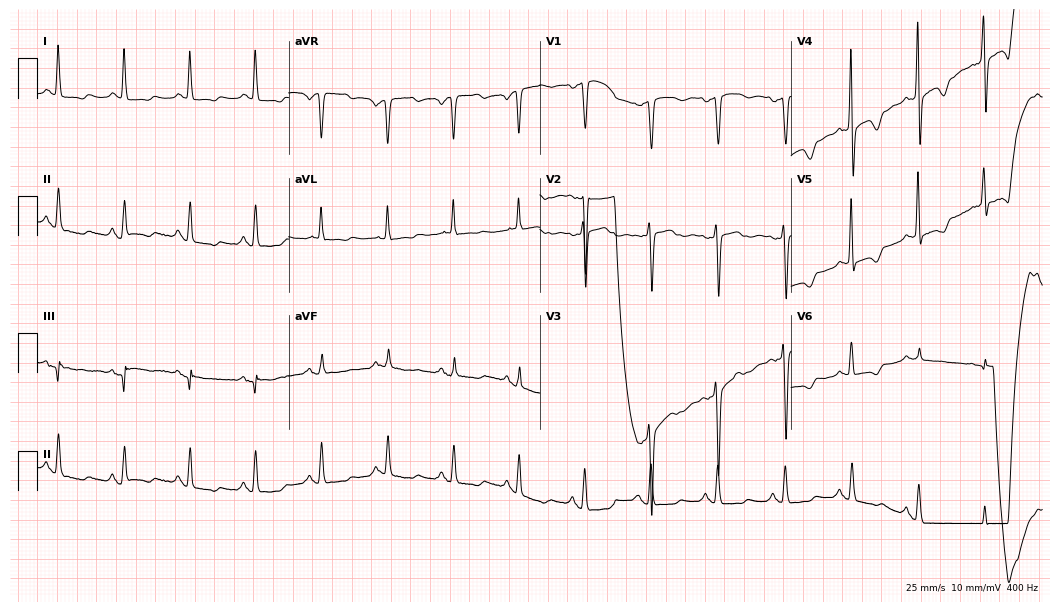
Standard 12-lead ECG recorded from a woman, 68 years old. None of these six findings is recorded: first-degree AV block, right bundle branch block (RBBB), left bundle branch block (LBBB), sinus bradycardia, atrial fibrillation (AF), sinus tachycardia.